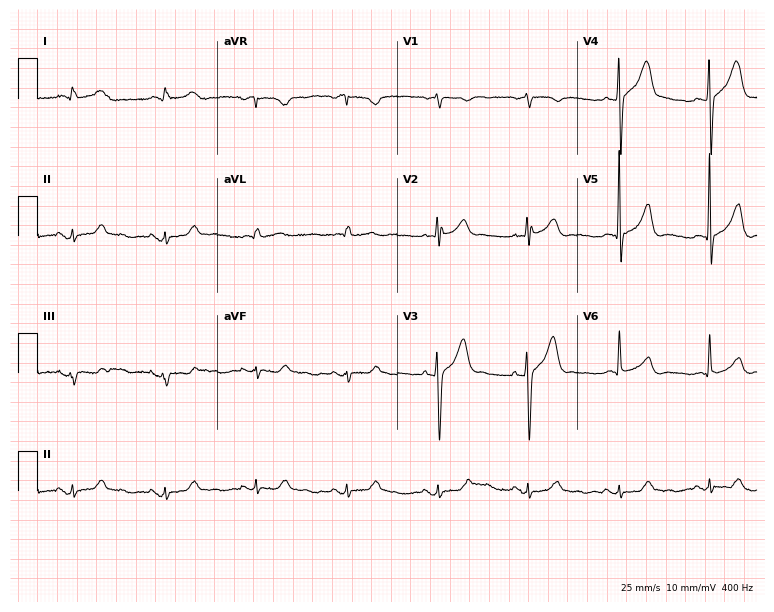
ECG (7.3-second recording at 400 Hz) — a male patient, 56 years old. Screened for six findings — first-degree AV block, right bundle branch block, left bundle branch block, sinus bradycardia, atrial fibrillation, sinus tachycardia — none is recorded. Findings outside these six are not listed.